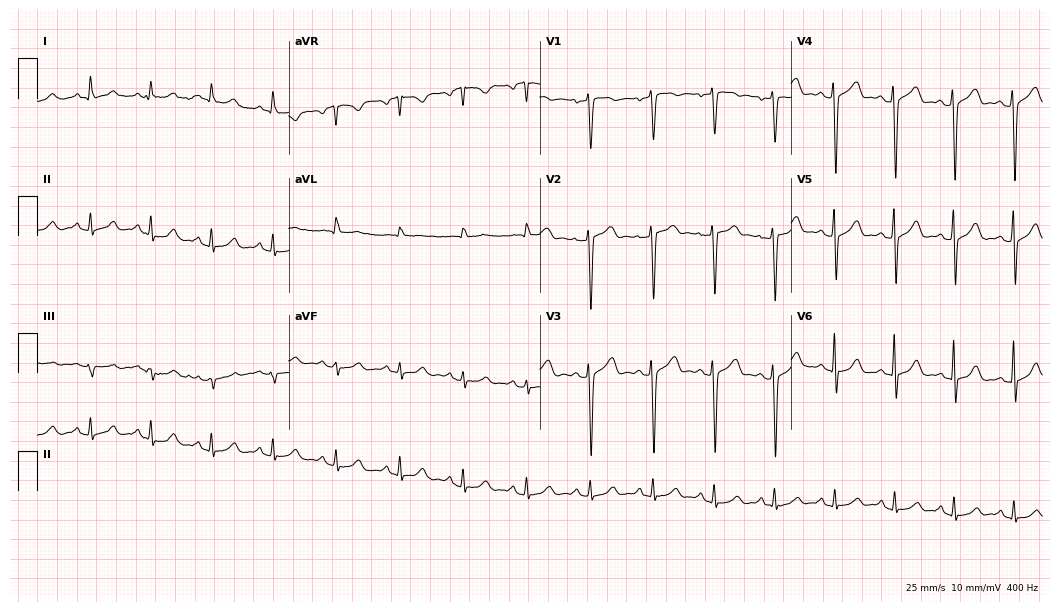
Standard 12-lead ECG recorded from a 60-year-old man. Read as a normal ECG.